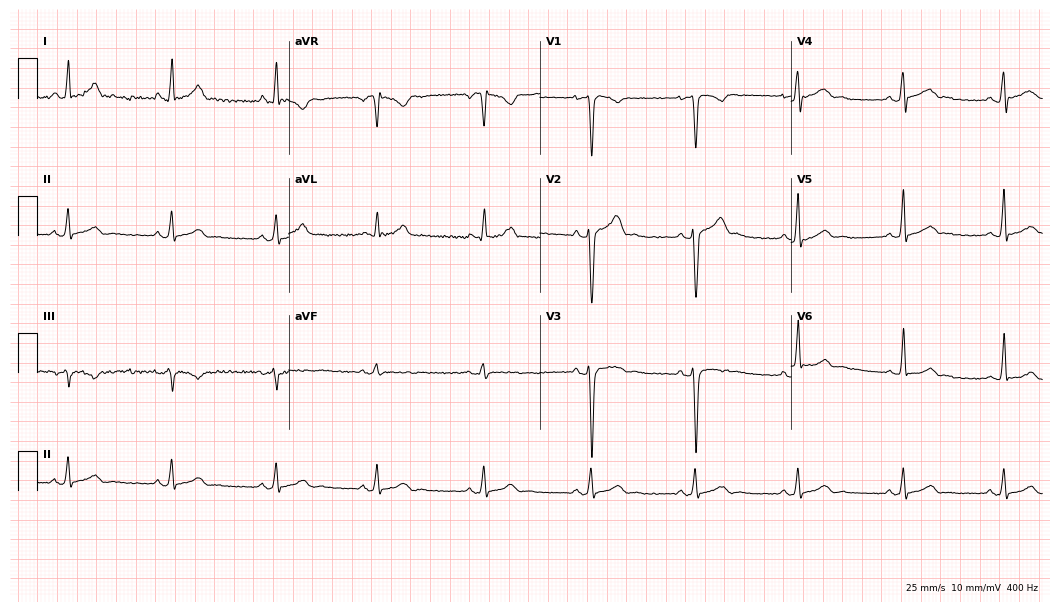
ECG (10.2-second recording at 400 Hz) — a 25-year-old male. Screened for six findings — first-degree AV block, right bundle branch block, left bundle branch block, sinus bradycardia, atrial fibrillation, sinus tachycardia — none is recorded.